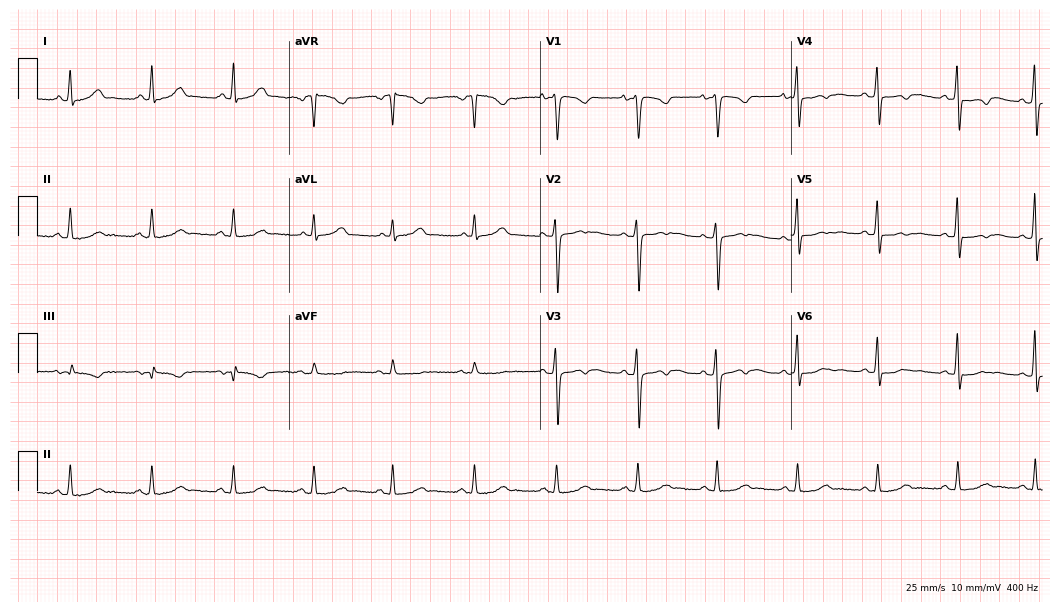
Resting 12-lead electrocardiogram. Patient: a 36-year-old female. None of these six findings is recorded: first-degree AV block, right bundle branch block, left bundle branch block, sinus bradycardia, atrial fibrillation, sinus tachycardia. Findings outside these six are not listed.